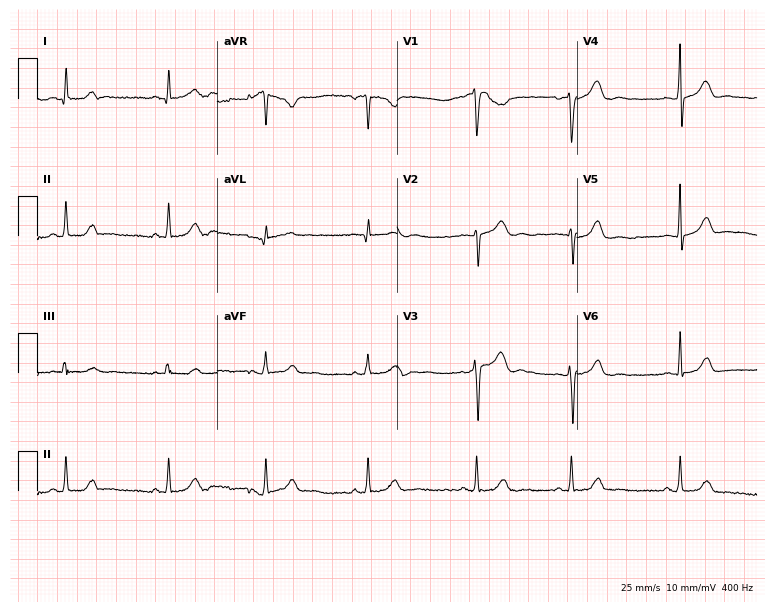
Standard 12-lead ECG recorded from a 24-year-old female (7.3-second recording at 400 Hz). Read as a normal ECG.